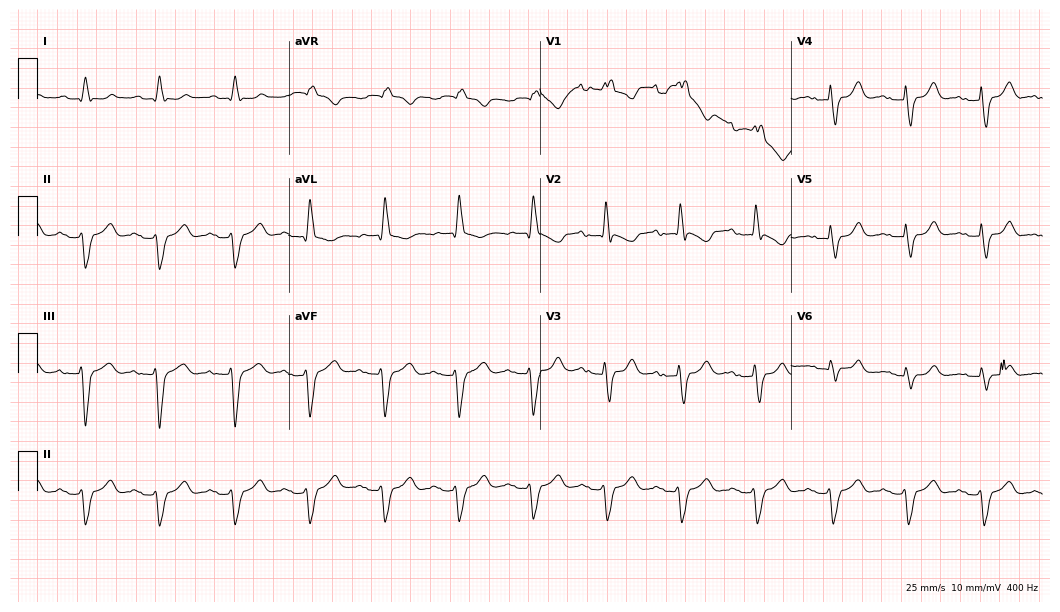
12-lead ECG from a 68-year-old man. Shows first-degree AV block, right bundle branch block.